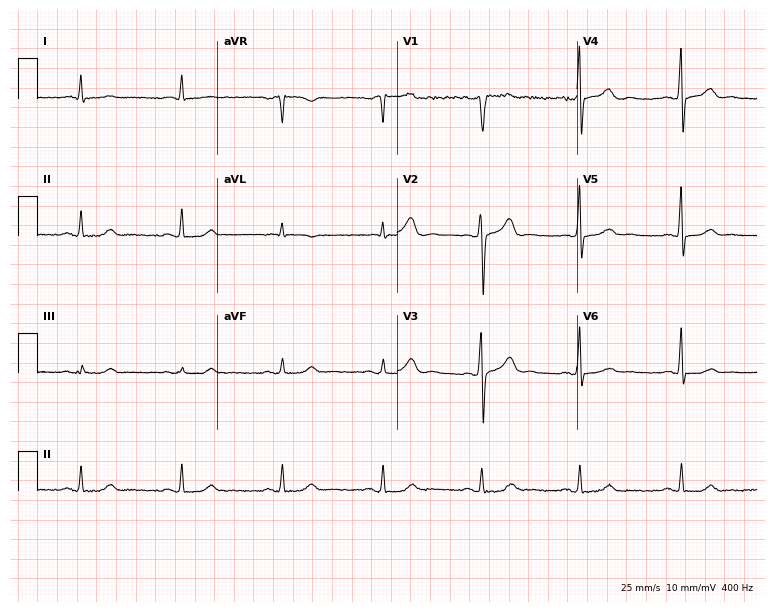
12-lead ECG from a man, 45 years old (7.3-second recording at 400 Hz). No first-degree AV block, right bundle branch block, left bundle branch block, sinus bradycardia, atrial fibrillation or sinus tachycardia recorded for this tracing. Only these six findings were labelled.